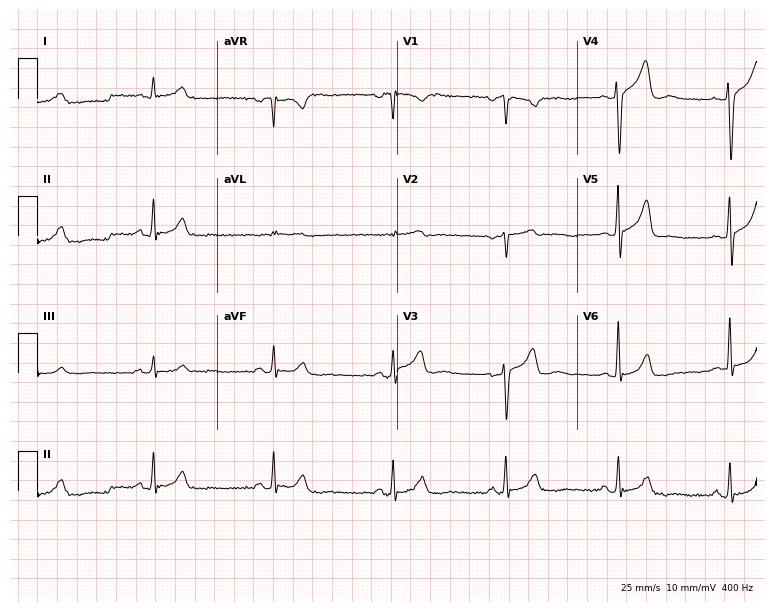
12-lead ECG from a male, 67 years old. Screened for six findings — first-degree AV block, right bundle branch block, left bundle branch block, sinus bradycardia, atrial fibrillation, sinus tachycardia — none is recorded.